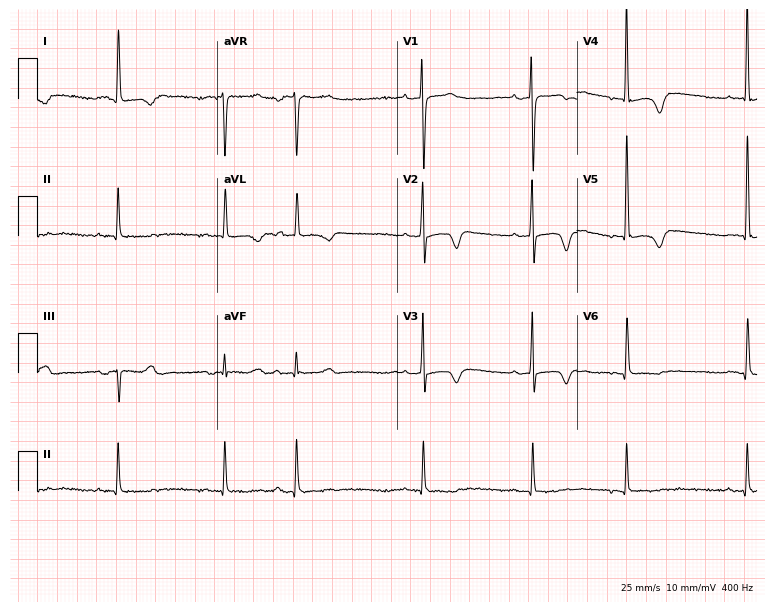
12-lead ECG from a 74-year-old female patient. Screened for six findings — first-degree AV block, right bundle branch block (RBBB), left bundle branch block (LBBB), sinus bradycardia, atrial fibrillation (AF), sinus tachycardia — none is recorded. Other findings, if any, are not listed.